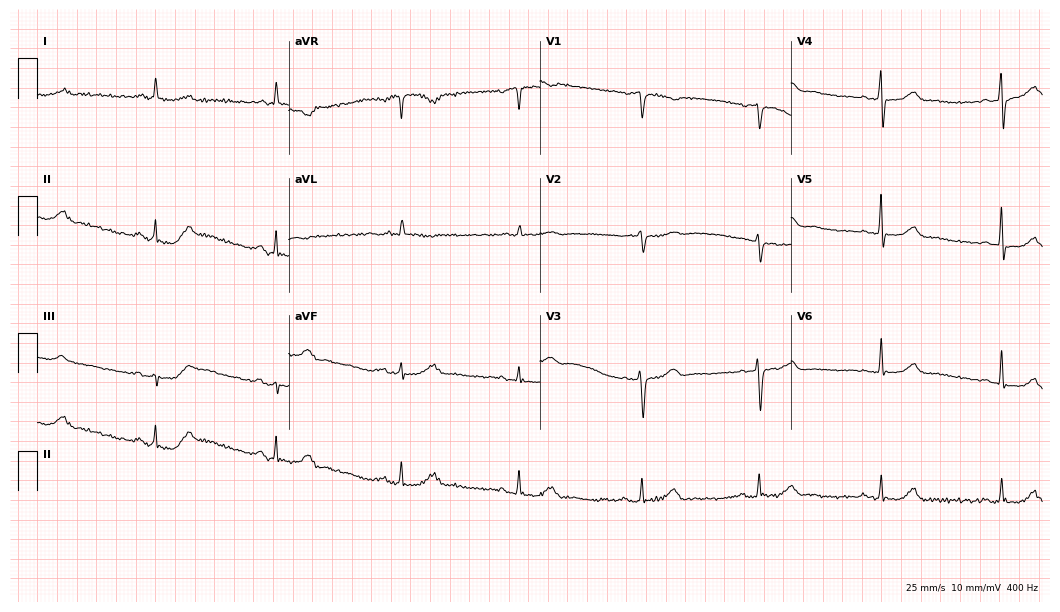
Standard 12-lead ECG recorded from a 68-year-old female patient. The tracing shows sinus bradycardia (a sinus rate of 50 beats per minute or less).